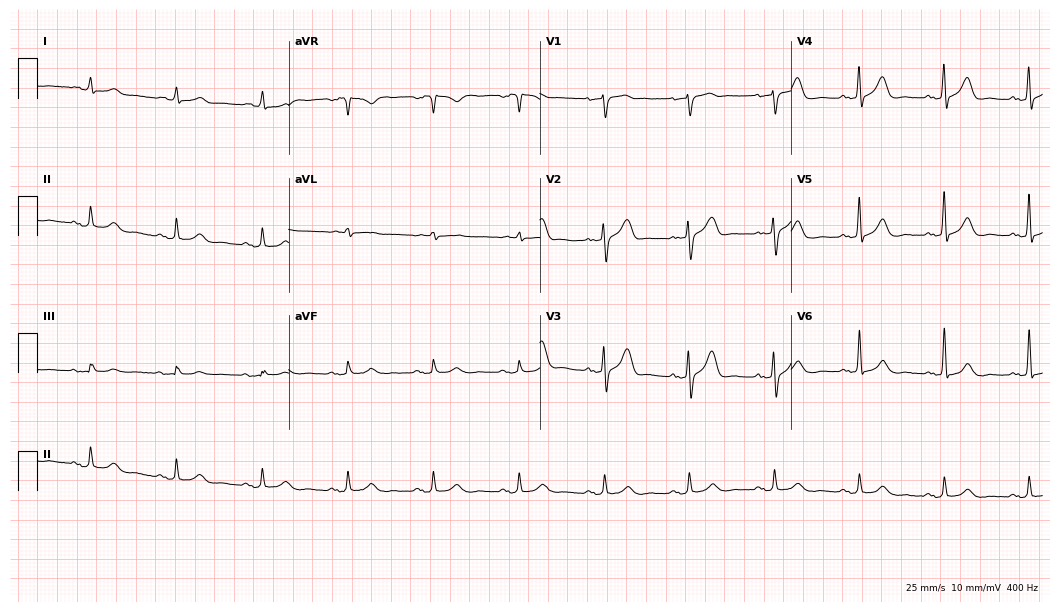
ECG — a 76-year-old male patient. Labelled as a normal ECG.